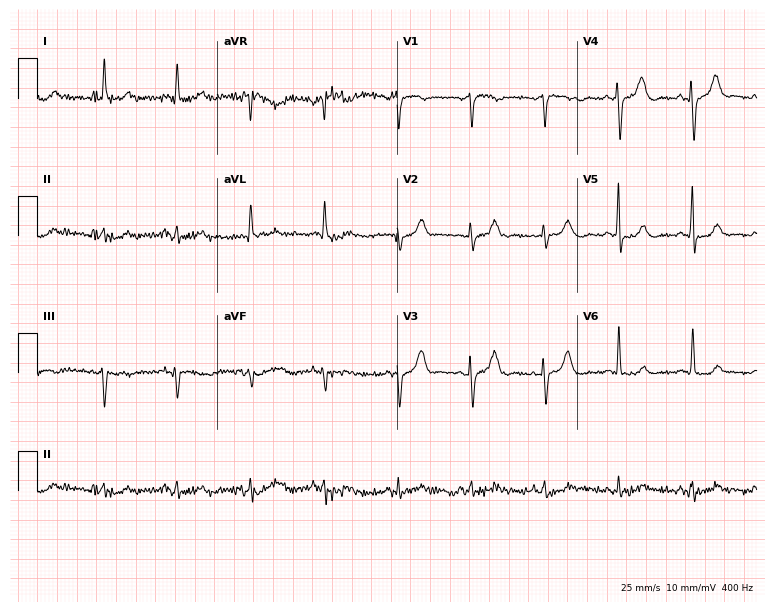
Standard 12-lead ECG recorded from a 77-year-old female patient (7.3-second recording at 400 Hz). None of these six findings is recorded: first-degree AV block, right bundle branch block (RBBB), left bundle branch block (LBBB), sinus bradycardia, atrial fibrillation (AF), sinus tachycardia. Findings outside these six are not listed.